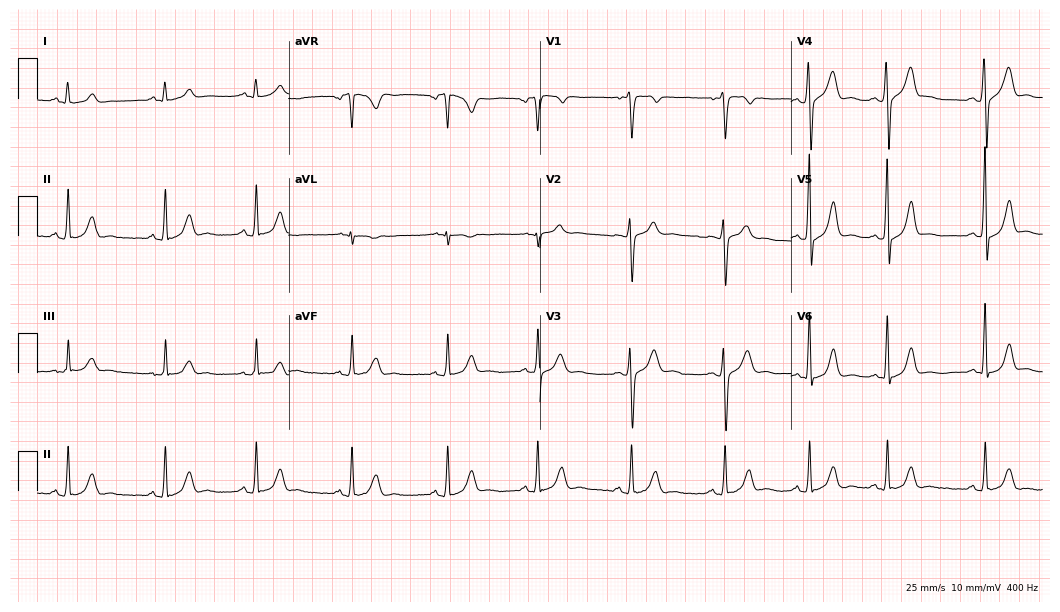
Standard 12-lead ECG recorded from a man, 17 years old (10.2-second recording at 400 Hz). Read as a normal ECG.